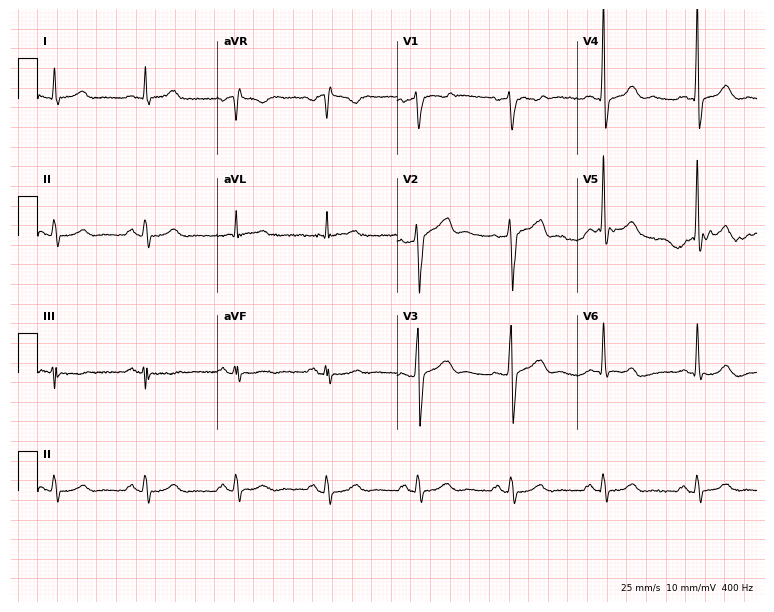
Resting 12-lead electrocardiogram (7.3-second recording at 400 Hz). Patient: a male, 51 years old. Read as a normal ECG.